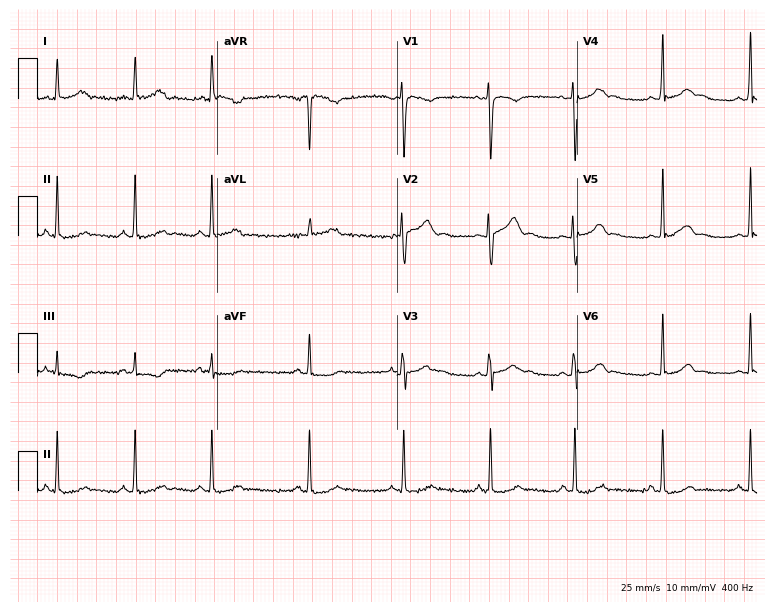
Standard 12-lead ECG recorded from a 24-year-old woman. Read as a normal ECG.